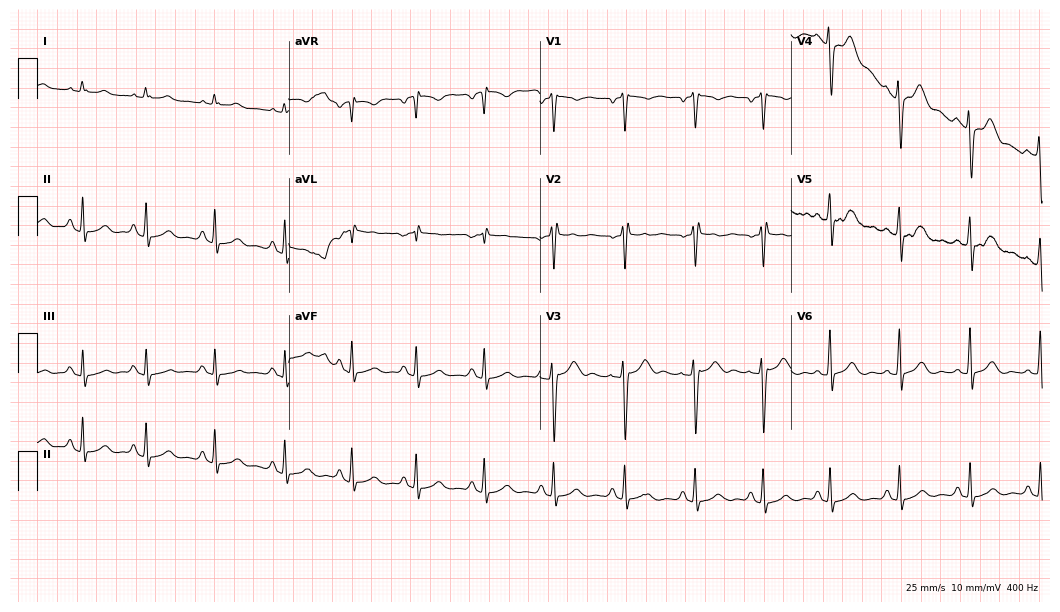
Electrocardiogram (10.2-second recording at 400 Hz), a 35-year-old man. Overall reading on record: normal ECG.